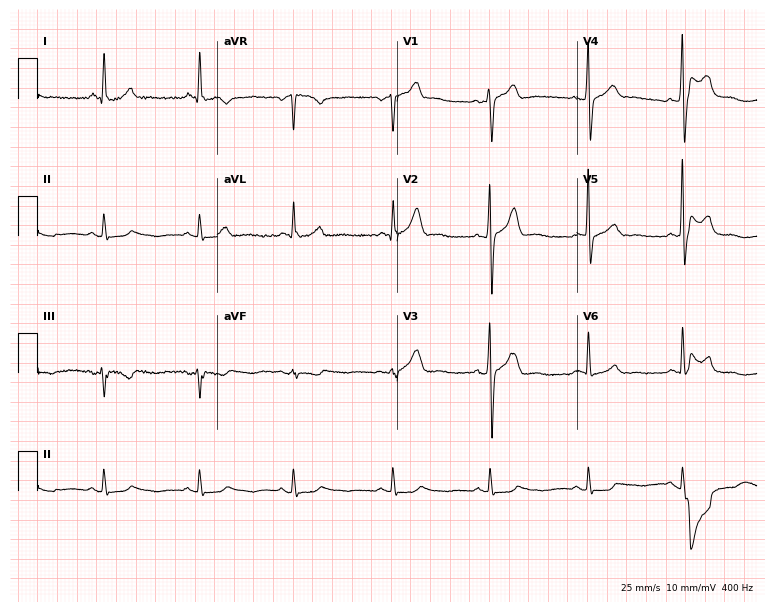
Standard 12-lead ECG recorded from a male, 52 years old. None of these six findings is recorded: first-degree AV block, right bundle branch block, left bundle branch block, sinus bradycardia, atrial fibrillation, sinus tachycardia. Findings outside these six are not listed.